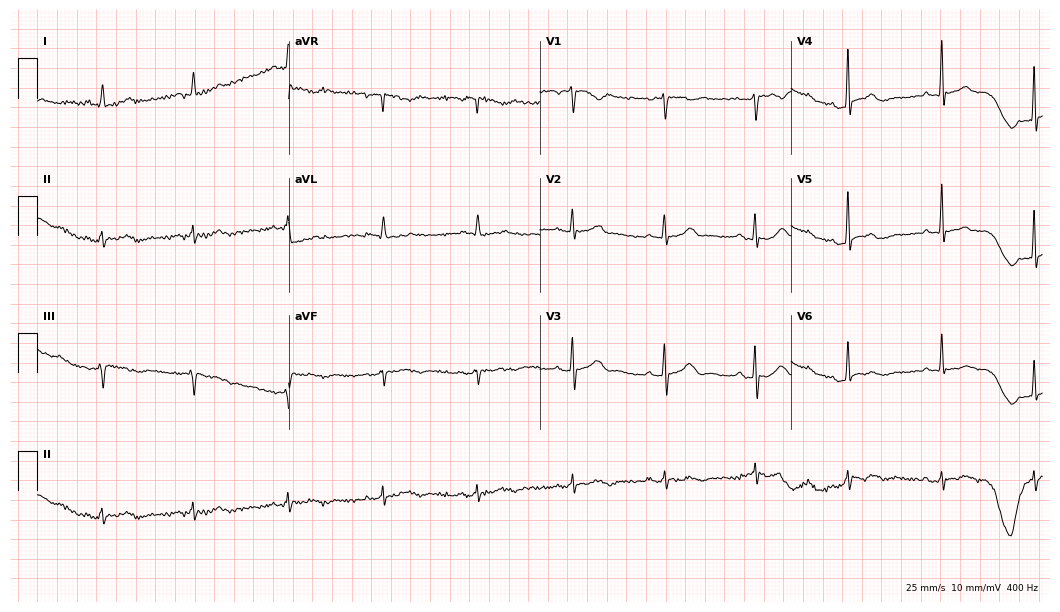
12-lead ECG from a female, 74 years old (10.2-second recording at 400 Hz). Recorded interpretation: within normal limits.